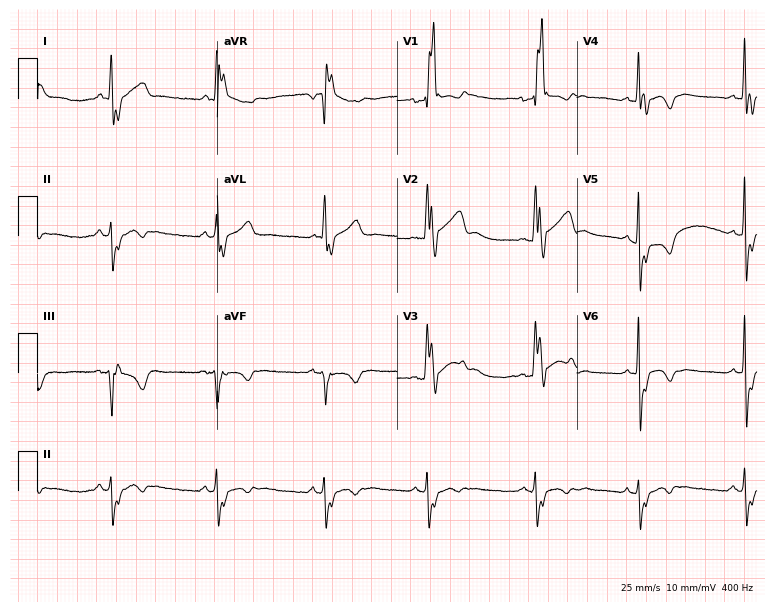
Electrocardiogram, a male, 58 years old. Interpretation includes right bundle branch block (RBBB).